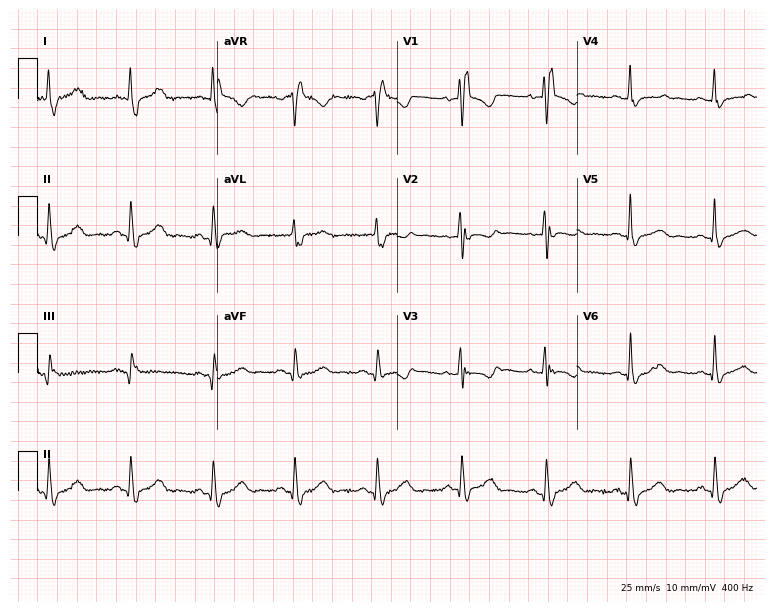
12-lead ECG (7.3-second recording at 400 Hz) from a 31-year-old woman. Findings include right bundle branch block.